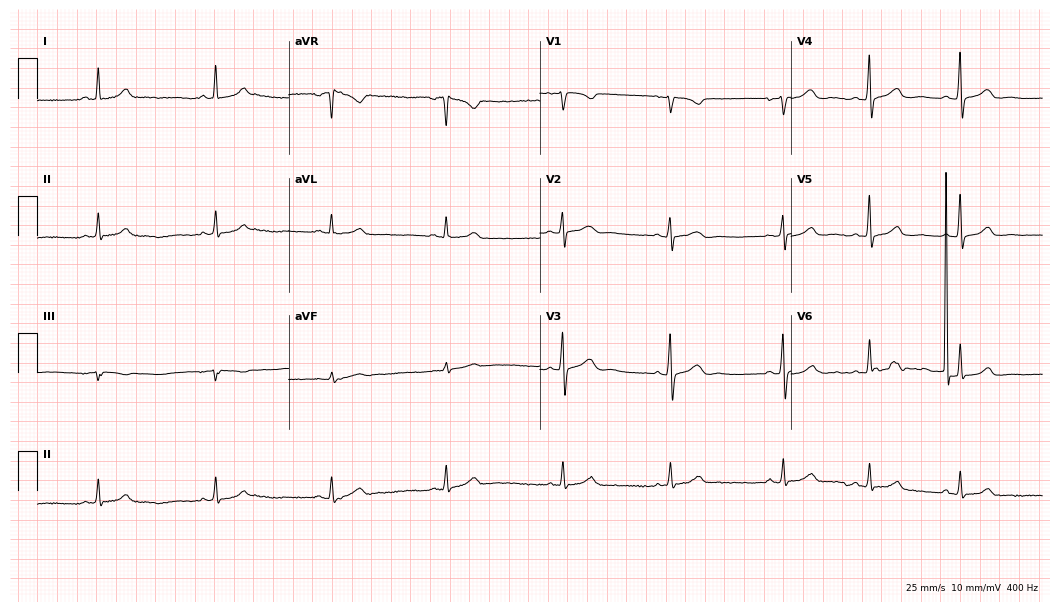
Electrocardiogram (10.2-second recording at 400 Hz), a 38-year-old woman. Overall reading on record: normal ECG.